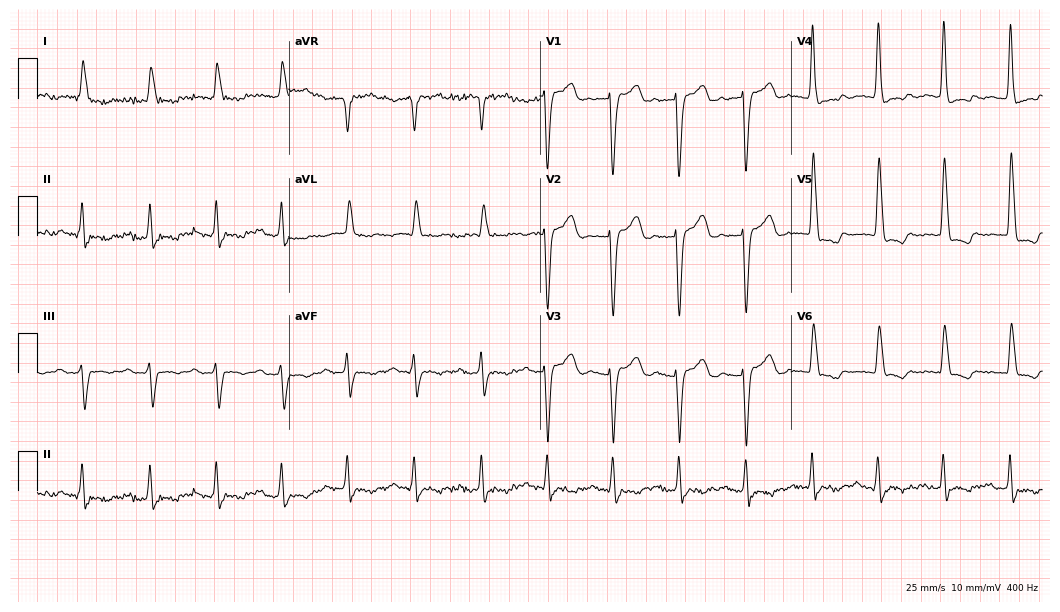
ECG — an 82-year-old female patient. Findings include first-degree AV block, left bundle branch block (LBBB).